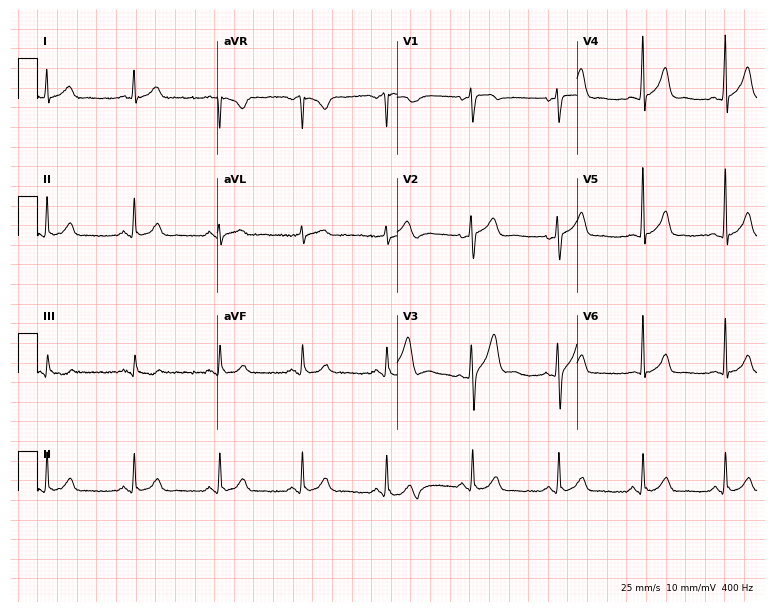
12-lead ECG from a 39-year-old male. Labelled as a normal ECG.